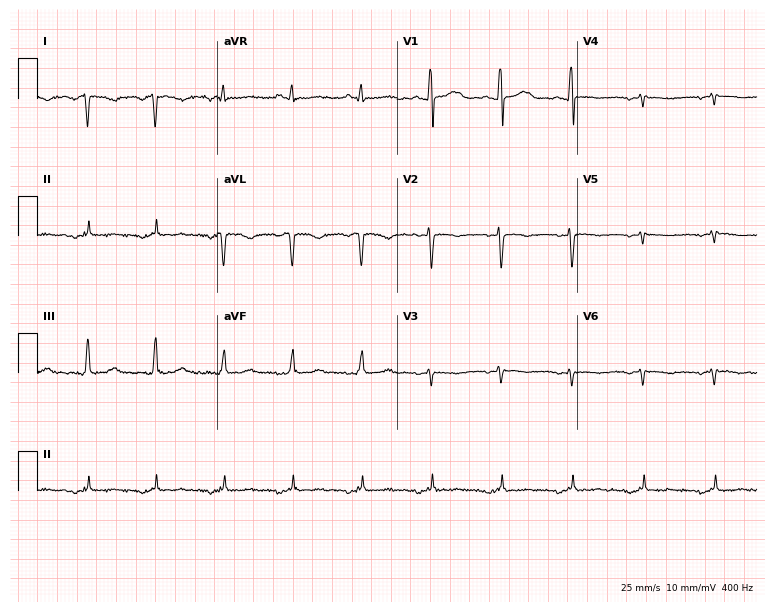
12-lead ECG (7.3-second recording at 400 Hz) from a 71-year-old man. Screened for six findings — first-degree AV block, right bundle branch block, left bundle branch block, sinus bradycardia, atrial fibrillation, sinus tachycardia — none is recorded. Findings outside these six are not listed.